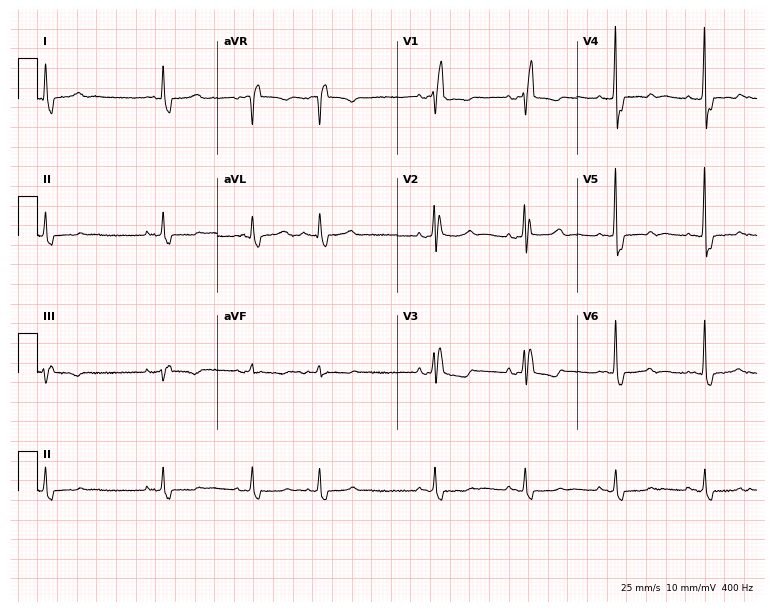
12-lead ECG (7.3-second recording at 400 Hz) from a man, 84 years old. Findings include right bundle branch block (RBBB).